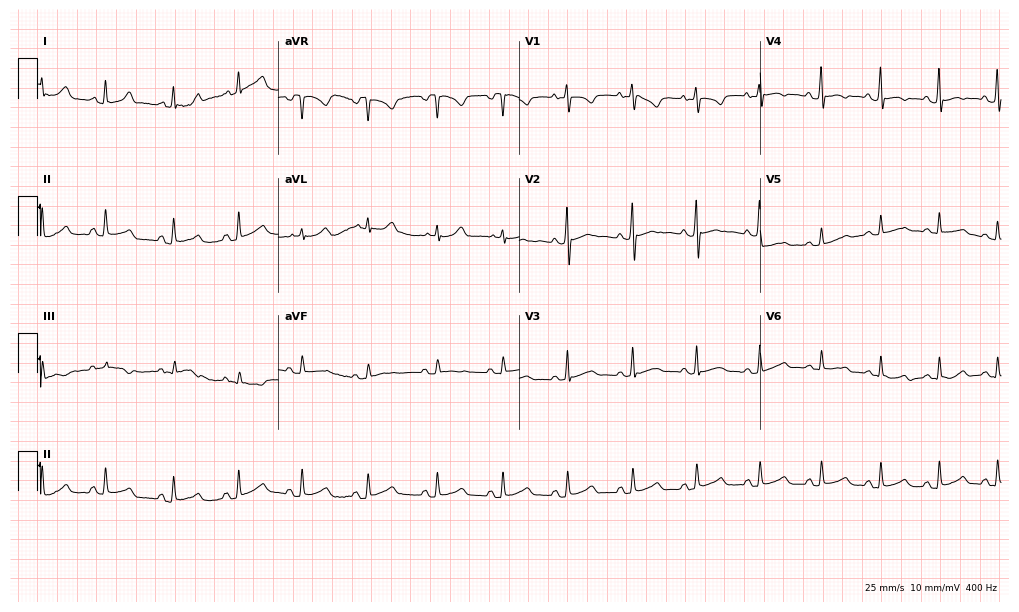
12-lead ECG from a female, 18 years old. Labelled as a normal ECG.